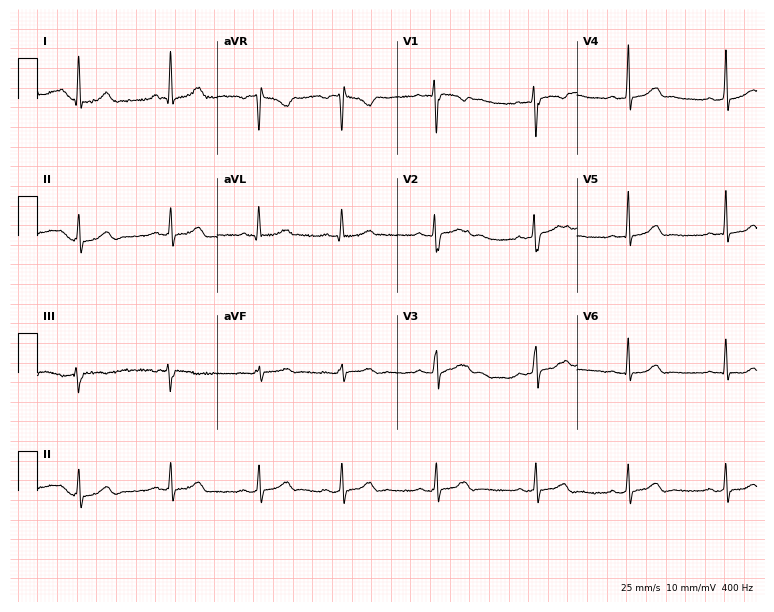
12-lead ECG (7.3-second recording at 400 Hz) from a 30-year-old female patient. Labelled as a normal ECG.